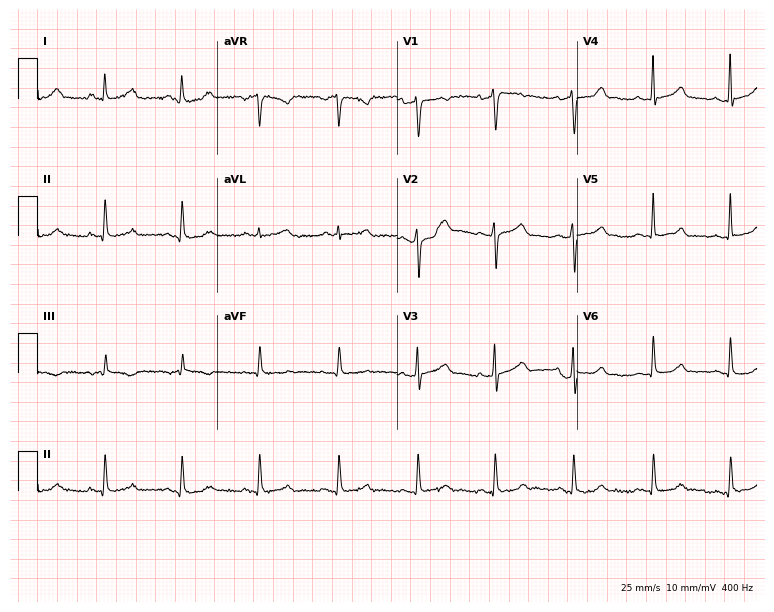
Electrocardiogram, a woman, 32 years old. Of the six screened findings (first-degree AV block, right bundle branch block (RBBB), left bundle branch block (LBBB), sinus bradycardia, atrial fibrillation (AF), sinus tachycardia), none is recorded.